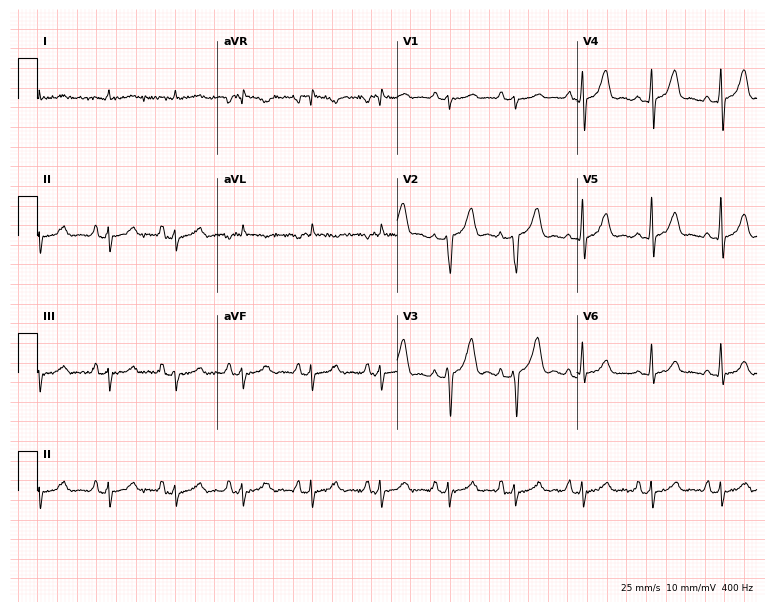
Standard 12-lead ECG recorded from a man, 73 years old (7.3-second recording at 400 Hz). None of these six findings is recorded: first-degree AV block, right bundle branch block, left bundle branch block, sinus bradycardia, atrial fibrillation, sinus tachycardia.